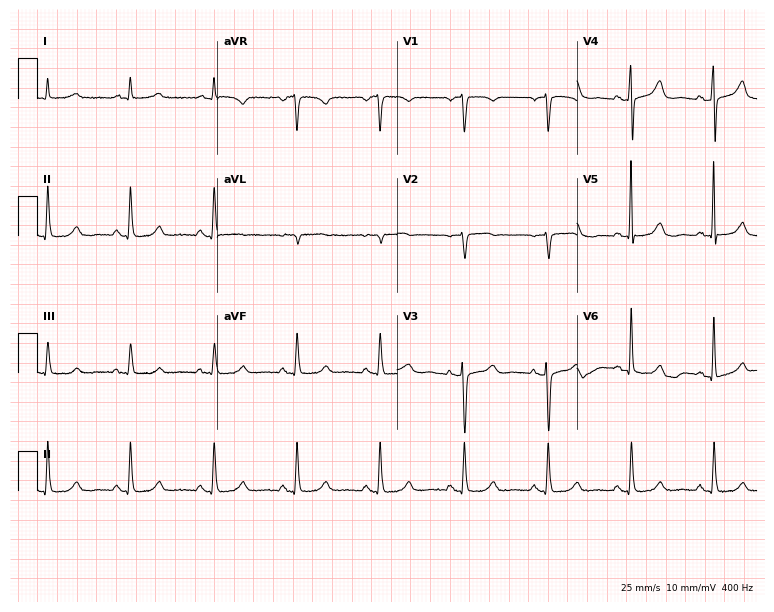
Standard 12-lead ECG recorded from a 67-year-old woman. None of these six findings is recorded: first-degree AV block, right bundle branch block (RBBB), left bundle branch block (LBBB), sinus bradycardia, atrial fibrillation (AF), sinus tachycardia. Other findings, if any, are not listed.